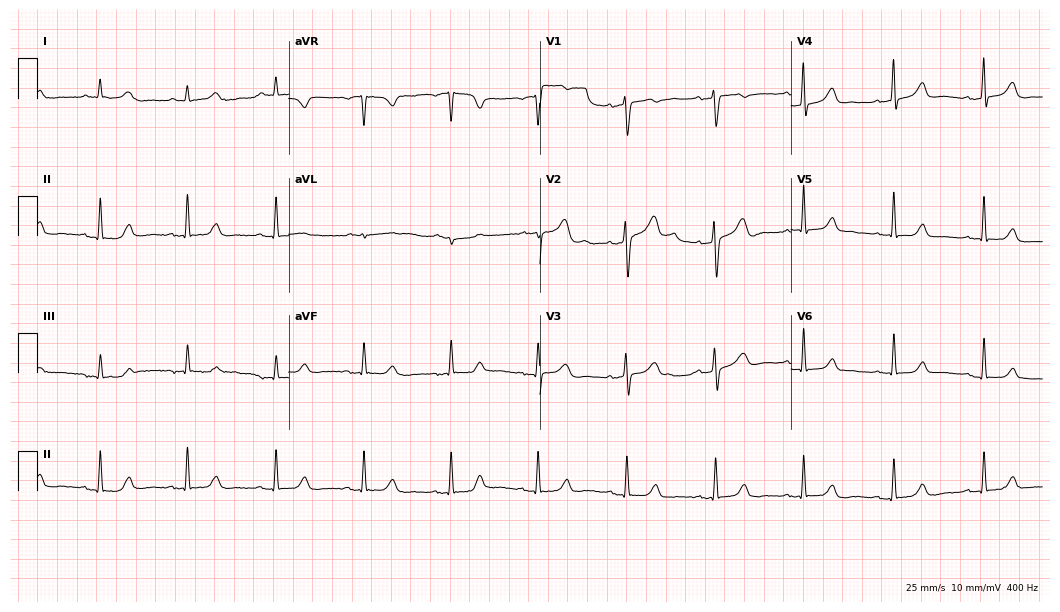
ECG — a 66-year-old female patient. Labelled as a normal ECG.